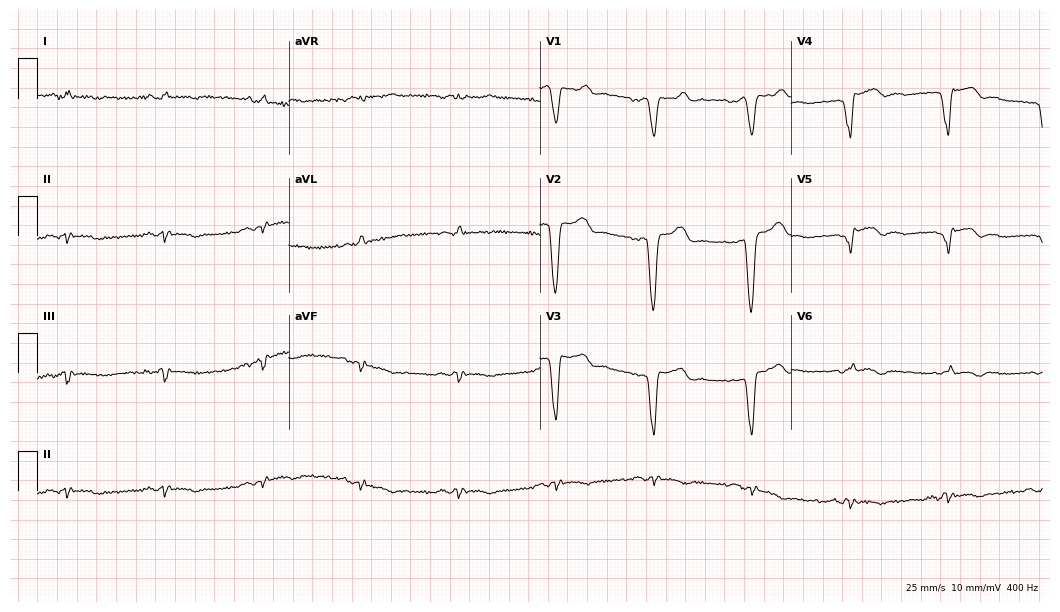
Electrocardiogram, a female patient, 48 years old. Of the six screened findings (first-degree AV block, right bundle branch block, left bundle branch block, sinus bradycardia, atrial fibrillation, sinus tachycardia), none is recorded. Only these six findings were labelled.